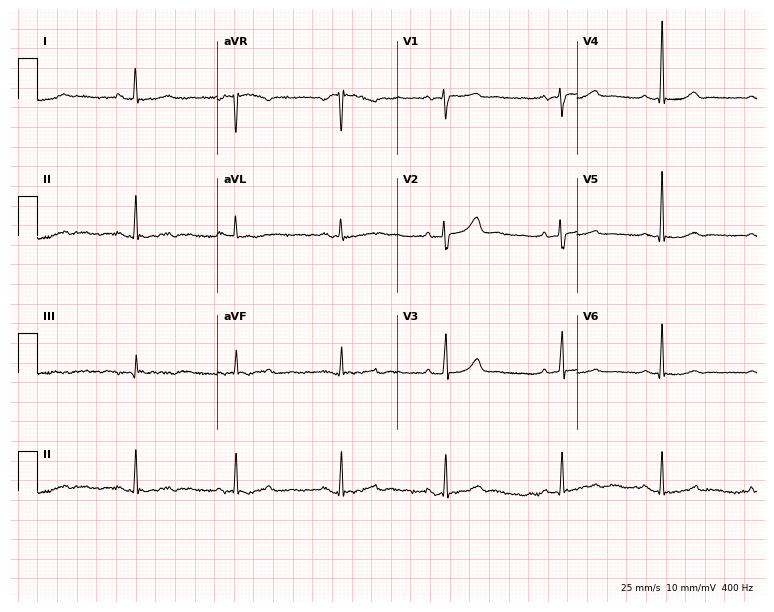
12-lead ECG (7.3-second recording at 400 Hz) from a woman, 41 years old. Labelled as a normal ECG.